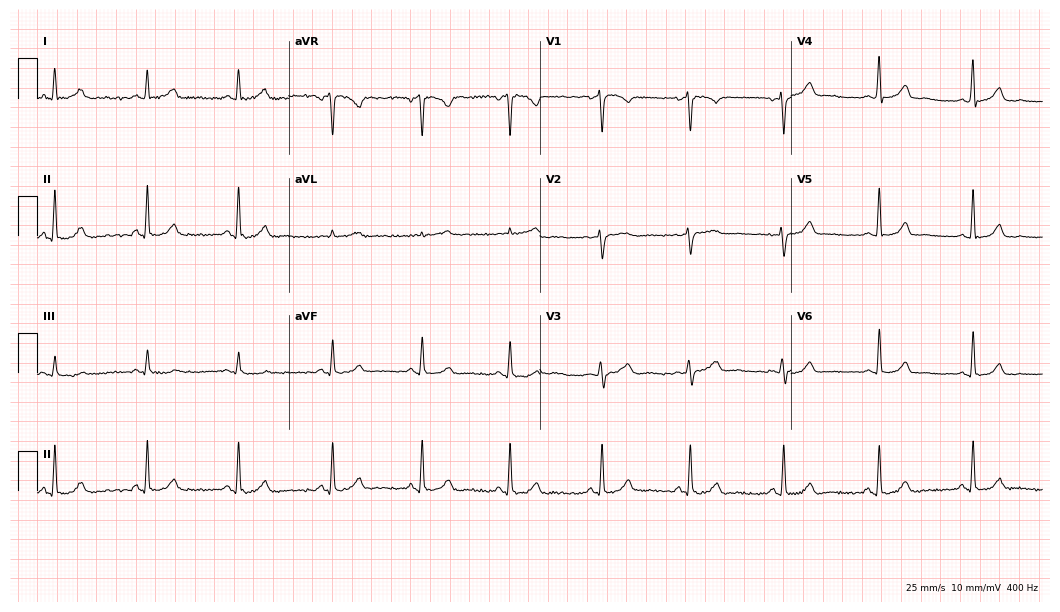
Resting 12-lead electrocardiogram (10.2-second recording at 400 Hz). Patient: a female, 30 years old. Read as a normal ECG.